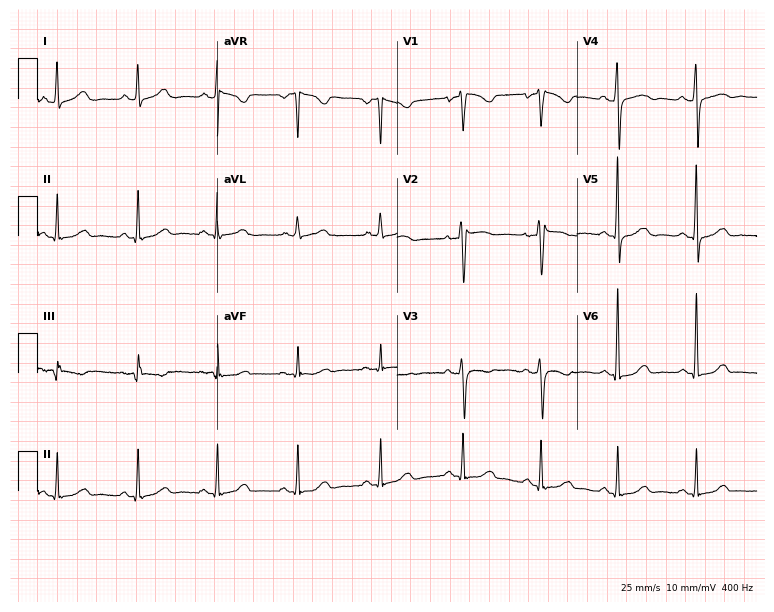
Electrocardiogram (7.3-second recording at 400 Hz), a woman, 59 years old. Of the six screened findings (first-degree AV block, right bundle branch block, left bundle branch block, sinus bradycardia, atrial fibrillation, sinus tachycardia), none is recorded. Findings outside these six are not listed.